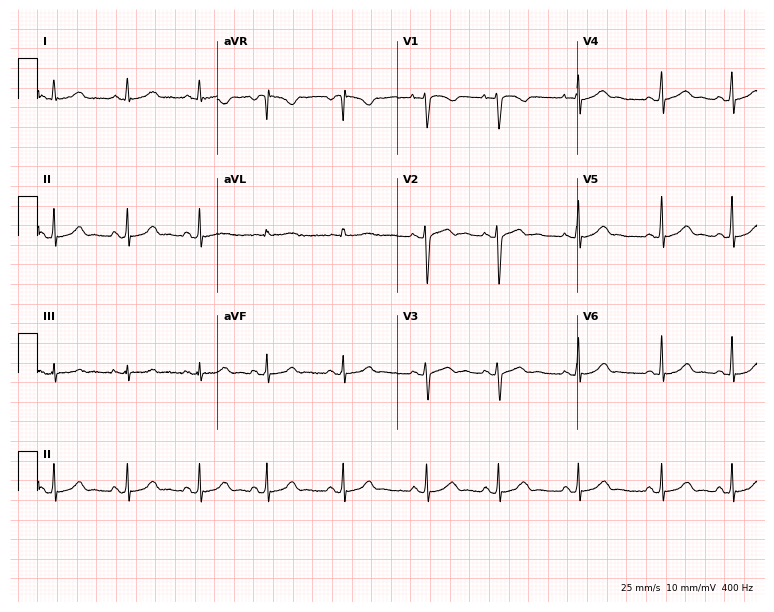
Resting 12-lead electrocardiogram (7.3-second recording at 400 Hz). Patient: a 17-year-old female. Read as a normal ECG.